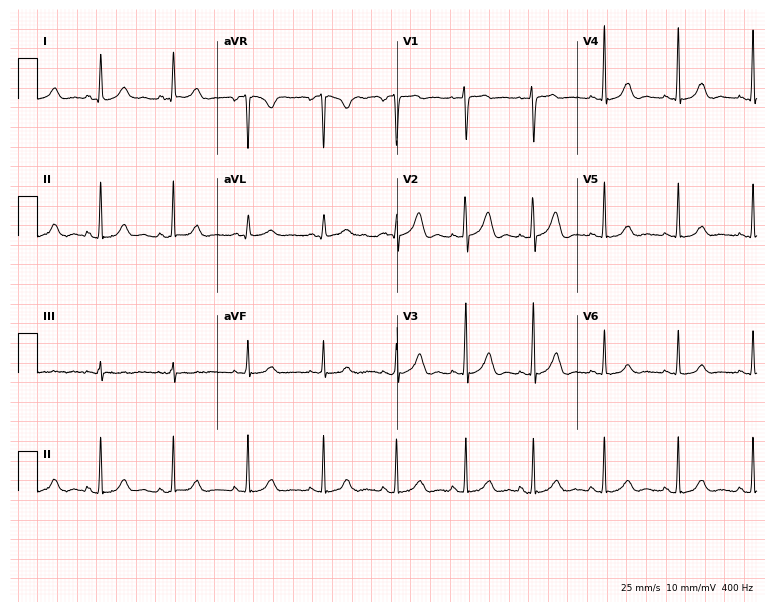
Electrocardiogram (7.3-second recording at 400 Hz), a 27-year-old woman. Overall reading on record: normal ECG.